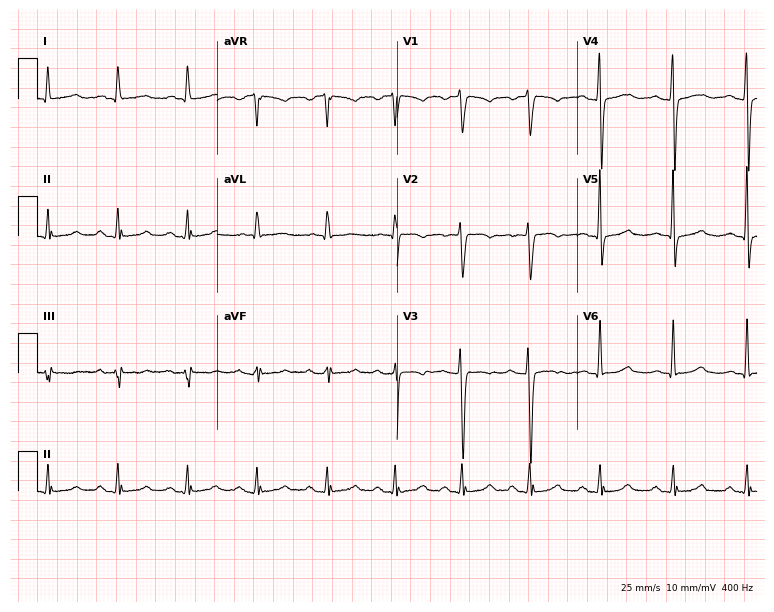
12-lead ECG from a 62-year-old female patient. Recorded interpretation: within normal limits.